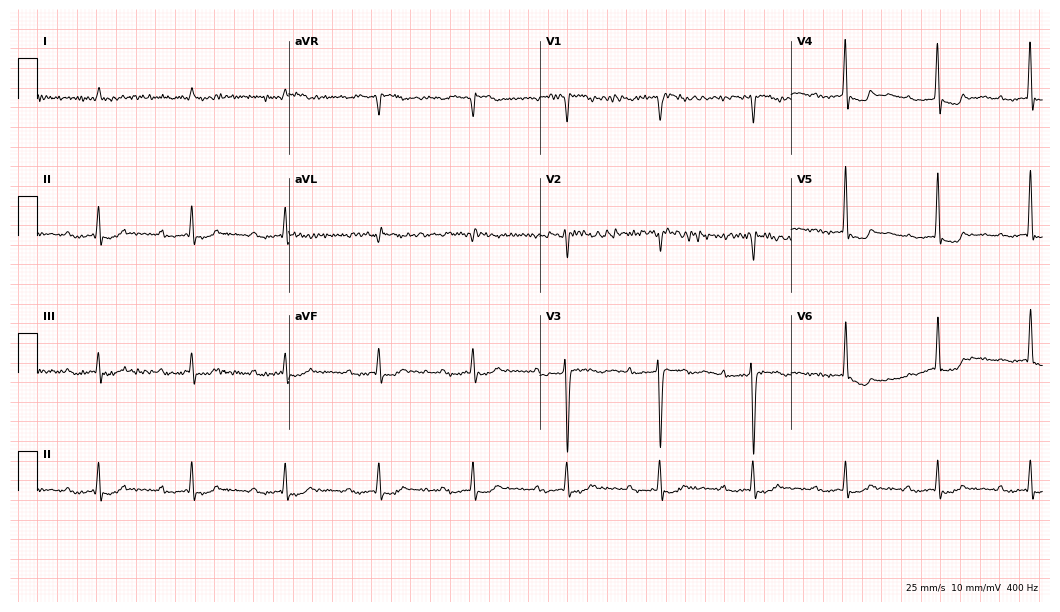
Resting 12-lead electrocardiogram (10.2-second recording at 400 Hz). Patient: an 84-year-old male. The tracing shows first-degree AV block.